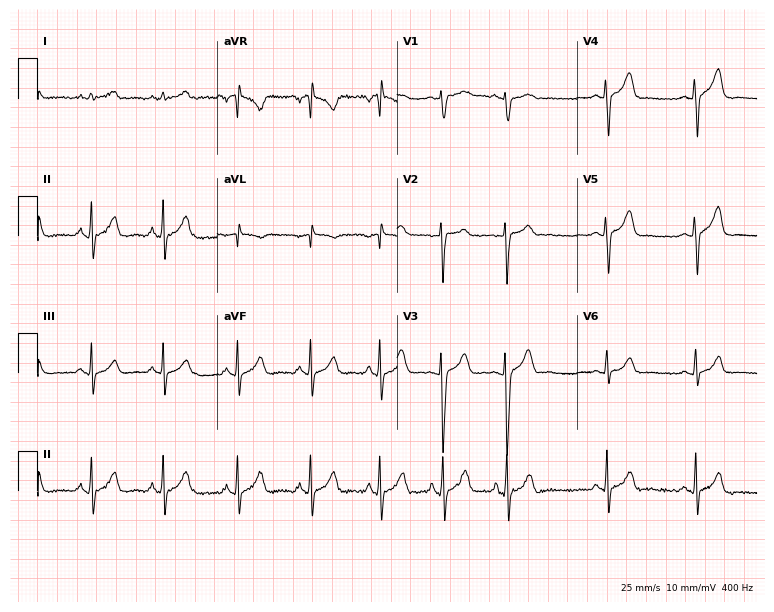
Resting 12-lead electrocardiogram. Patient: a female, 21 years old. None of these six findings is recorded: first-degree AV block, right bundle branch block, left bundle branch block, sinus bradycardia, atrial fibrillation, sinus tachycardia. Only these six findings were labelled.